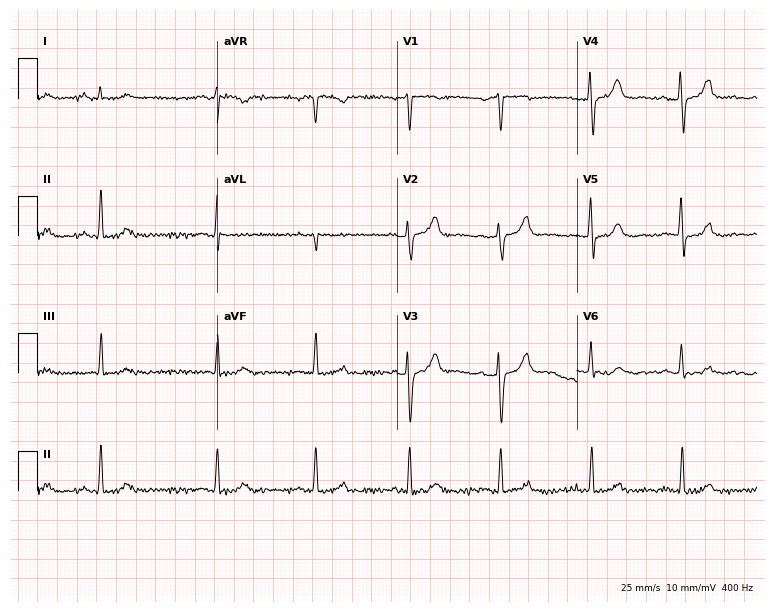
ECG (7.3-second recording at 400 Hz) — a man, 70 years old. Labelled as a normal ECG.